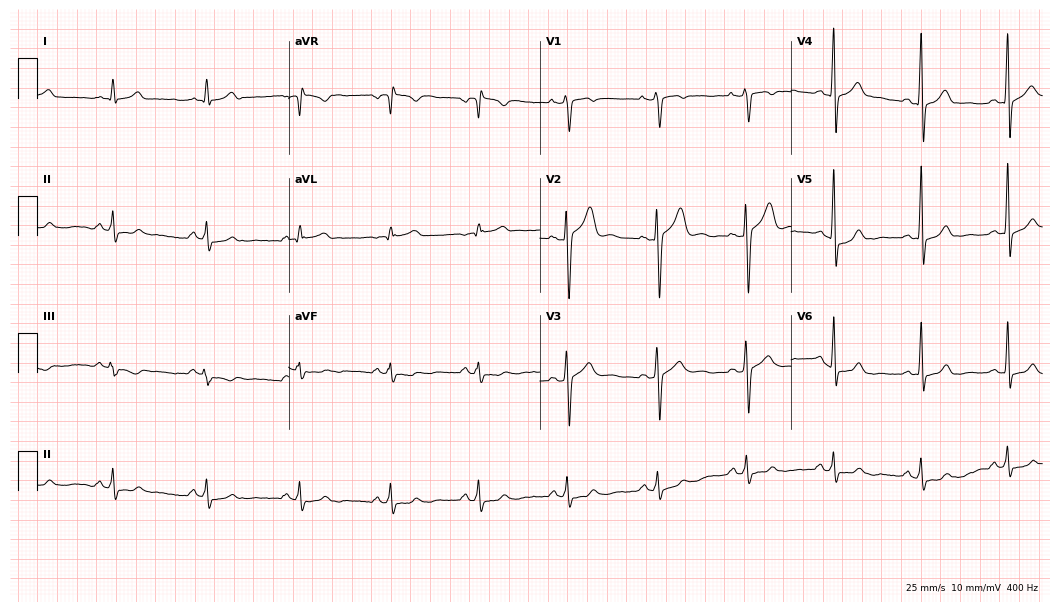
12-lead ECG from a male, 30 years old. No first-degree AV block, right bundle branch block, left bundle branch block, sinus bradycardia, atrial fibrillation or sinus tachycardia recorded for this tracing. Other findings, if any, are not listed.